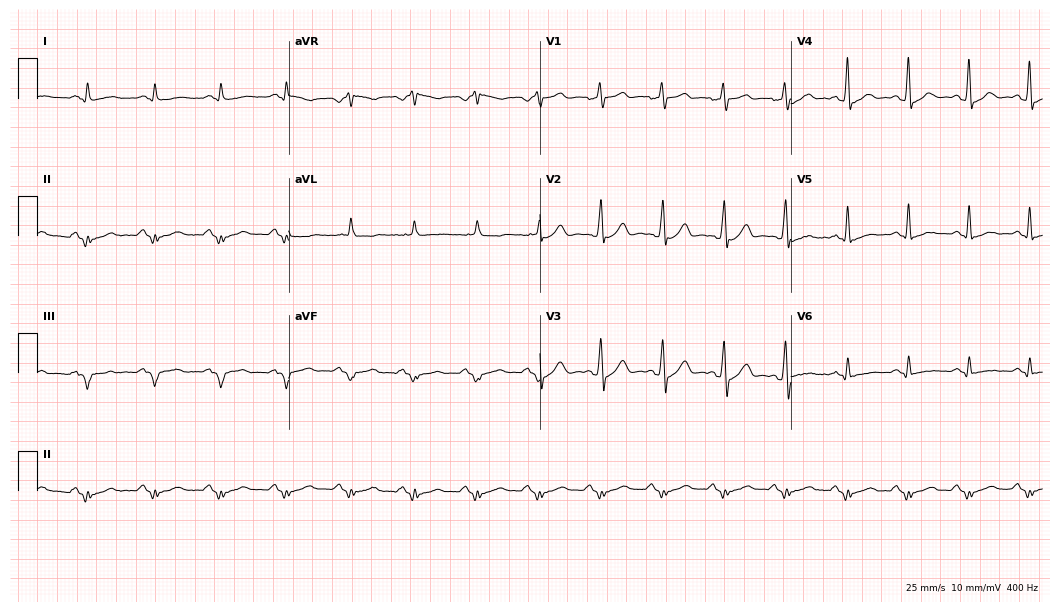
12-lead ECG from a 53-year-old male. No first-degree AV block, right bundle branch block (RBBB), left bundle branch block (LBBB), sinus bradycardia, atrial fibrillation (AF) or sinus tachycardia recorded for this tracing.